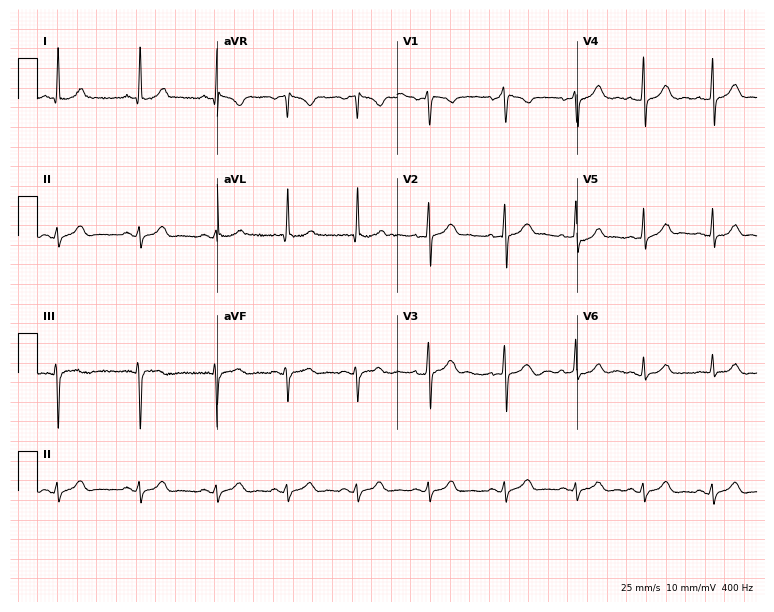
ECG — a 30-year-old female. Screened for six findings — first-degree AV block, right bundle branch block, left bundle branch block, sinus bradycardia, atrial fibrillation, sinus tachycardia — none is recorded. Other findings, if any, are not listed.